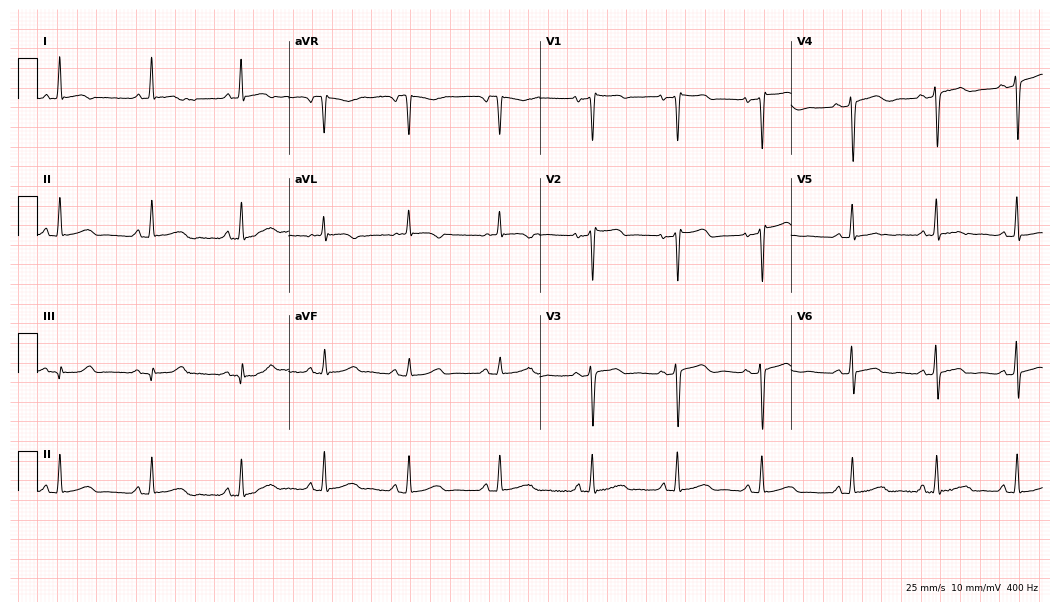
ECG — a 60-year-old woman. Labelled as a normal ECG.